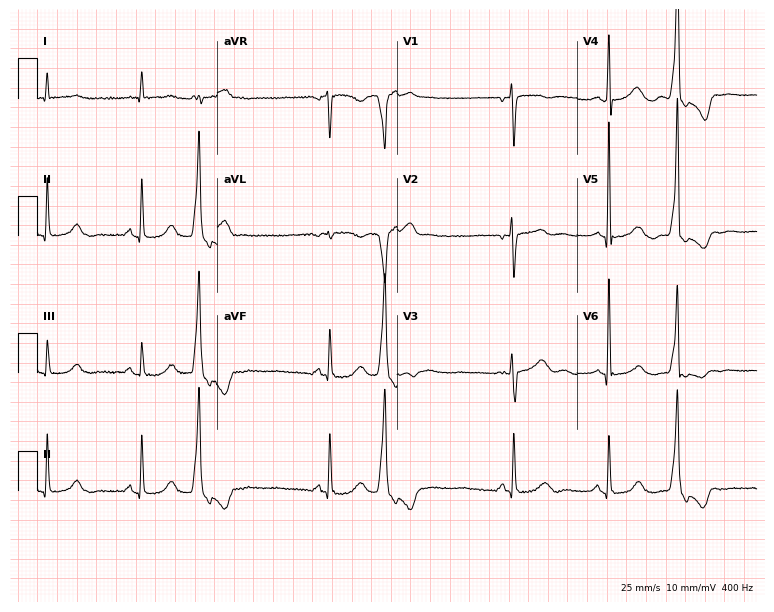
12-lead ECG from a 55-year-old woman. No first-degree AV block, right bundle branch block (RBBB), left bundle branch block (LBBB), sinus bradycardia, atrial fibrillation (AF) or sinus tachycardia recorded for this tracing. Only these six findings were labelled.